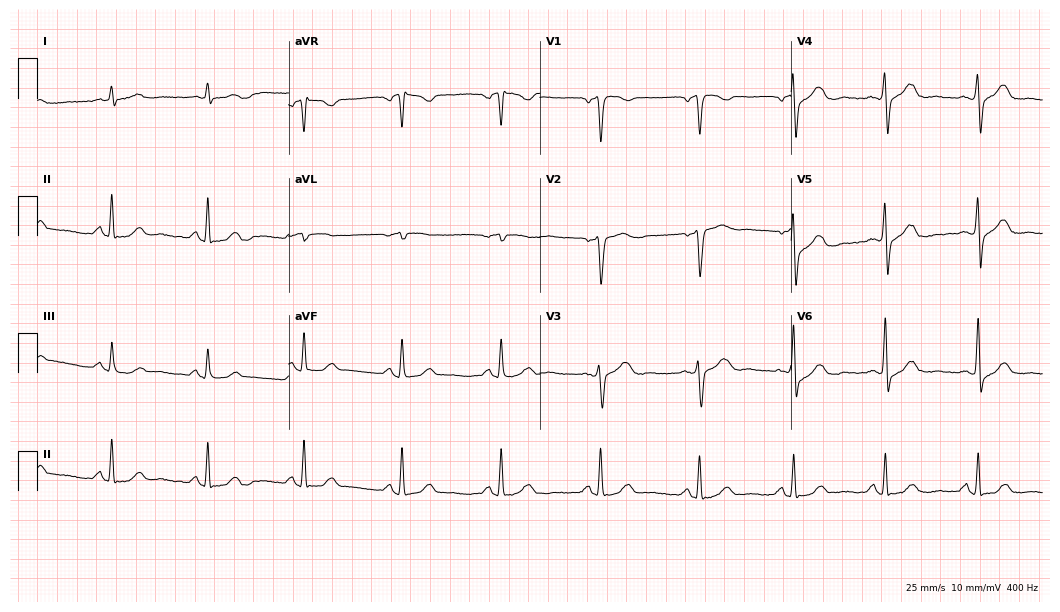
Standard 12-lead ECG recorded from a man, 58 years old (10.2-second recording at 400 Hz). None of these six findings is recorded: first-degree AV block, right bundle branch block, left bundle branch block, sinus bradycardia, atrial fibrillation, sinus tachycardia.